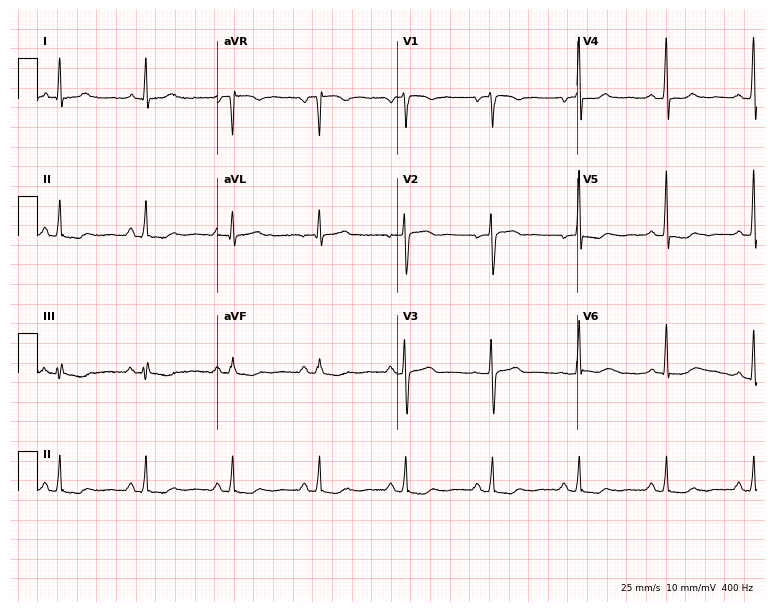
Electrocardiogram, a woman, 59 years old. Of the six screened findings (first-degree AV block, right bundle branch block, left bundle branch block, sinus bradycardia, atrial fibrillation, sinus tachycardia), none is recorded. Only these six findings were labelled.